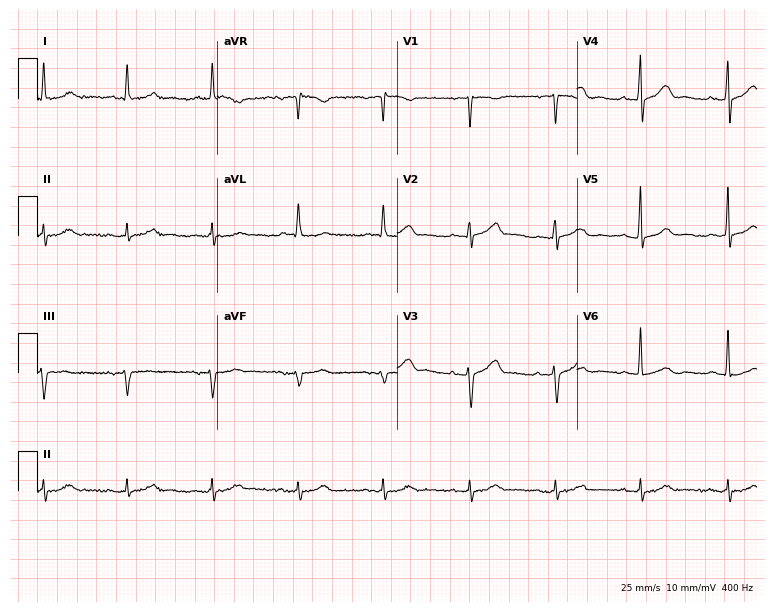
Electrocardiogram (7.3-second recording at 400 Hz), an 87-year-old man. Of the six screened findings (first-degree AV block, right bundle branch block, left bundle branch block, sinus bradycardia, atrial fibrillation, sinus tachycardia), none is recorded.